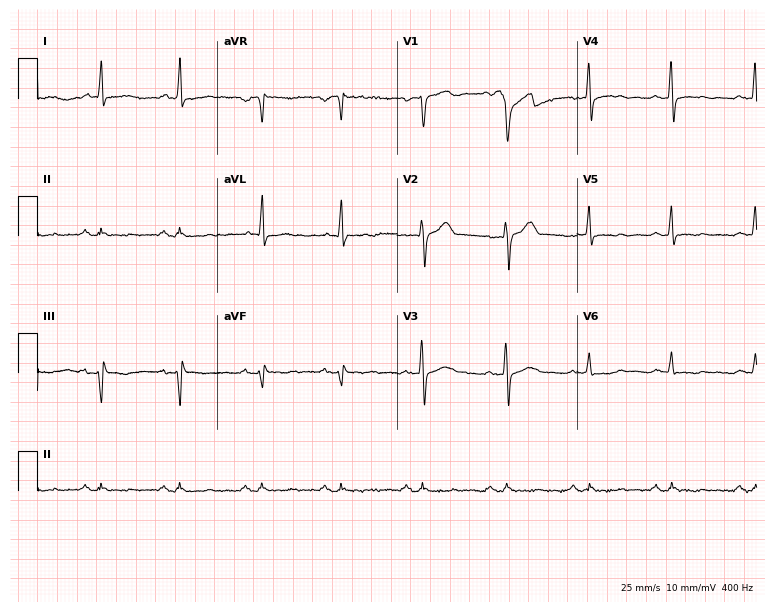
12-lead ECG from a male, 53 years old. Labelled as a normal ECG.